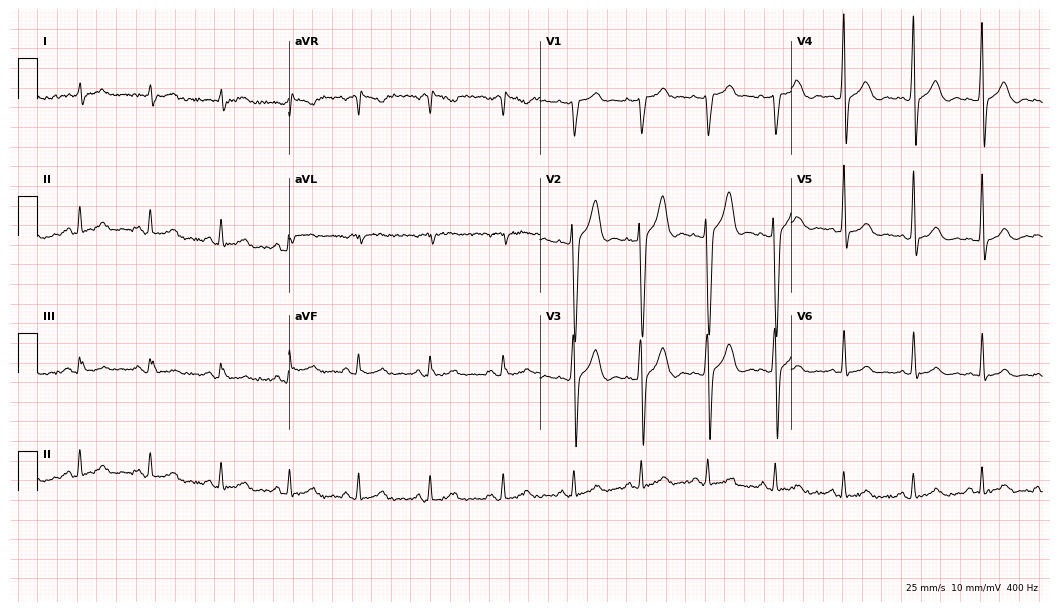
Resting 12-lead electrocardiogram (10.2-second recording at 400 Hz). Patient: a 48-year-old man. Read as a normal ECG.